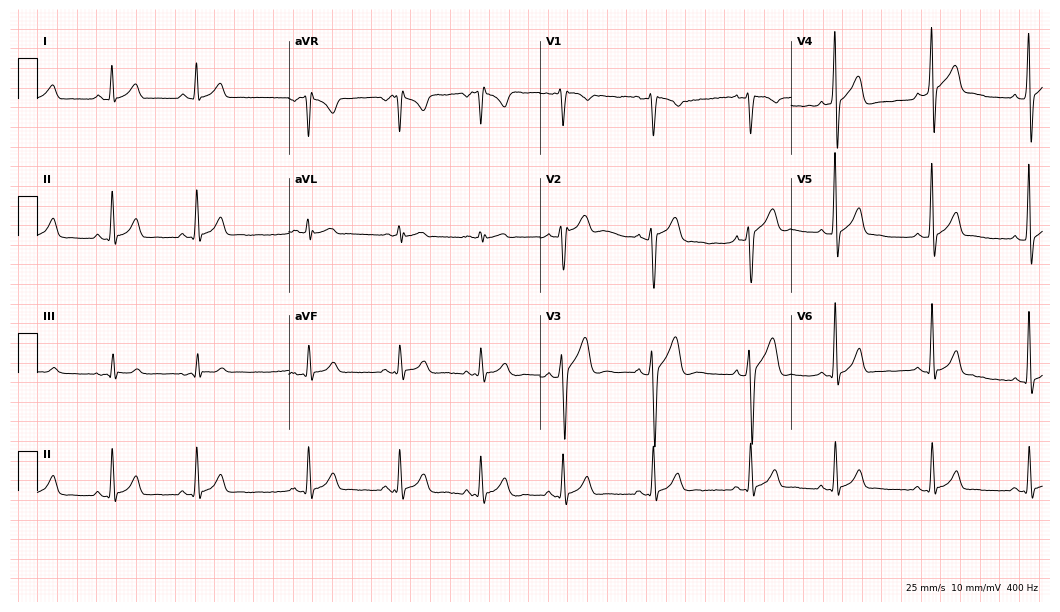
Resting 12-lead electrocardiogram (10.2-second recording at 400 Hz). Patient: a 21-year-old man. None of these six findings is recorded: first-degree AV block, right bundle branch block, left bundle branch block, sinus bradycardia, atrial fibrillation, sinus tachycardia. Other findings, if any, are not listed.